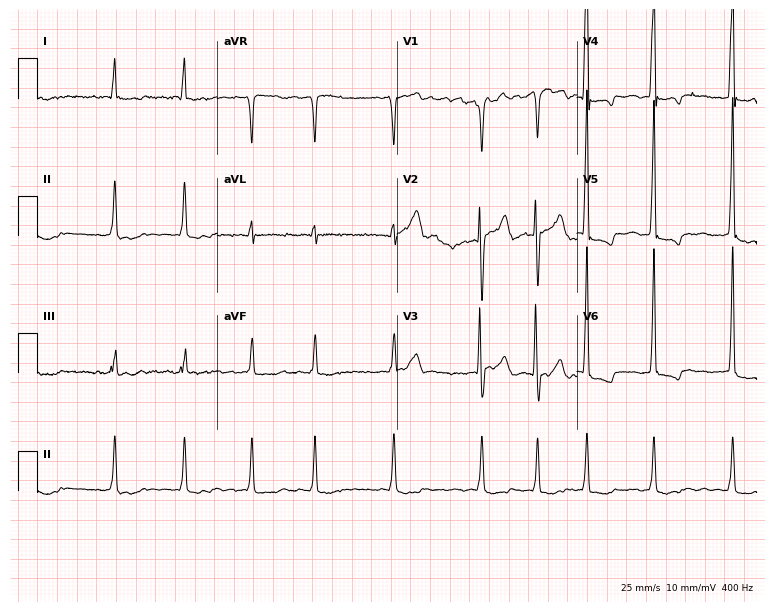
Electrocardiogram, a male patient, 81 years old. Interpretation includes atrial fibrillation.